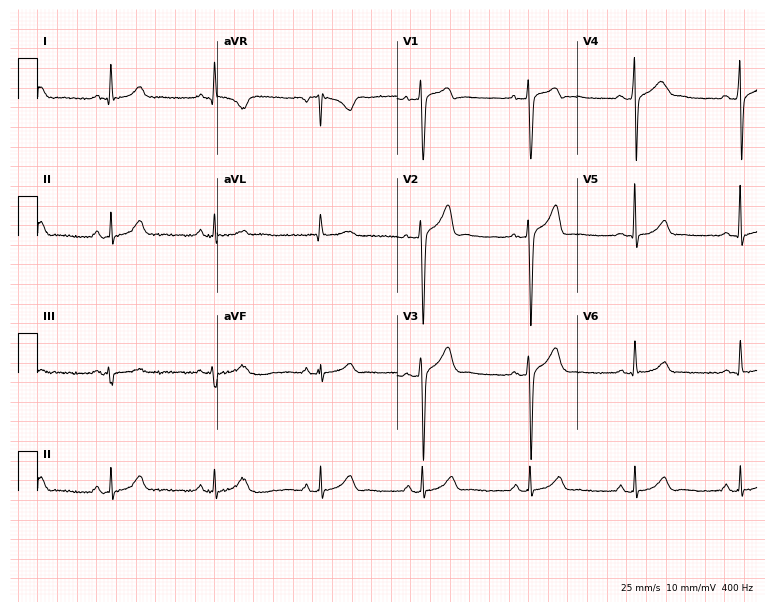
12-lead ECG from a man, 28 years old. No first-degree AV block, right bundle branch block, left bundle branch block, sinus bradycardia, atrial fibrillation or sinus tachycardia recorded for this tracing.